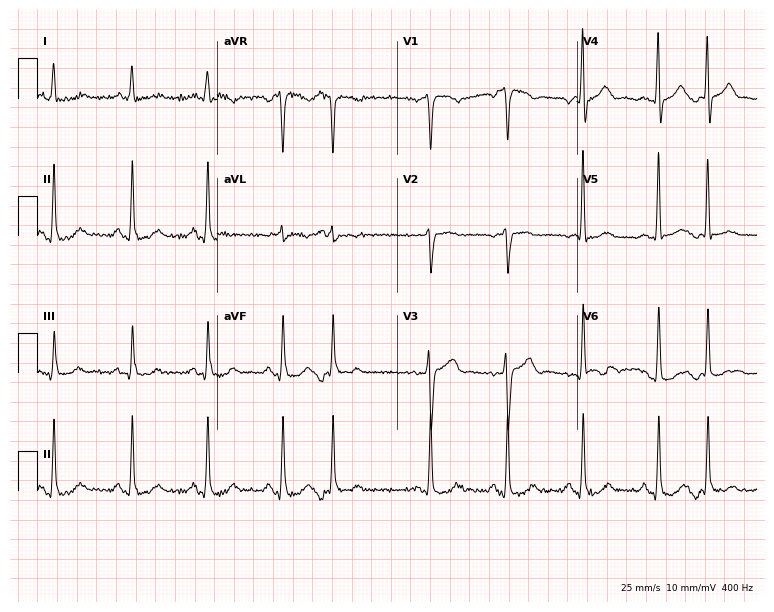
Standard 12-lead ECG recorded from a male patient, 80 years old. None of these six findings is recorded: first-degree AV block, right bundle branch block, left bundle branch block, sinus bradycardia, atrial fibrillation, sinus tachycardia. Only these six findings were labelled.